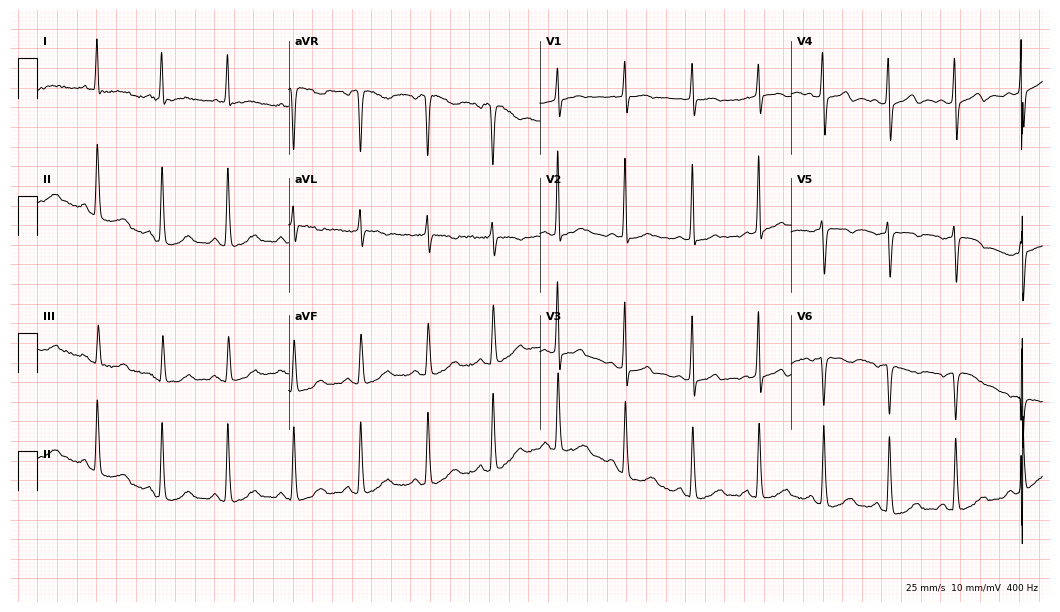
12-lead ECG from a woman, 70 years old. Screened for six findings — first-degree AV block, right bundle branch block, left bundle branch block, sinus bradycardia, atrial fibrillation, sinus tachycardia — none is recorded.